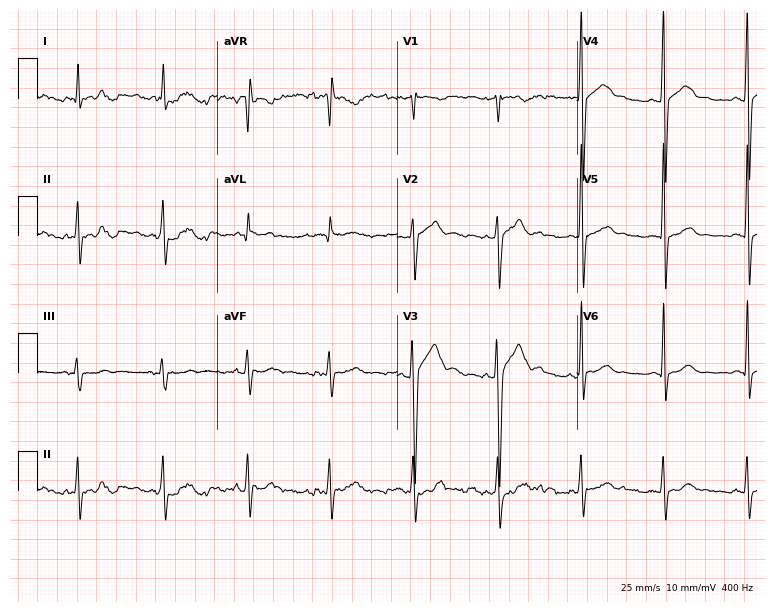
12-lead ECG from a male patient, 29 years old (7.3-second recording at 400 Hz). No first-degree AV block, right bundle branch block, left bundle branch block, sinus bradycardia, atrial fibrillation or sinus tachycardia recorded for this tracing.